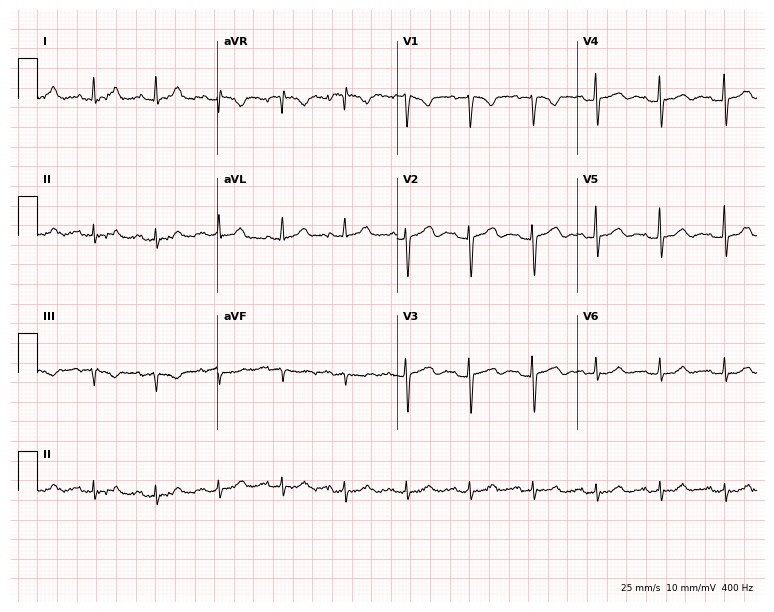
Electrocardiogram, a 30-year-old woman. Of the six screened findings (first-degree AV block, right bundle branch block (RBBB), left bundle branch block (LBBB), sinus bradycardia, atrial fibrillation (AF), sinus tachycardia), none is recorded.